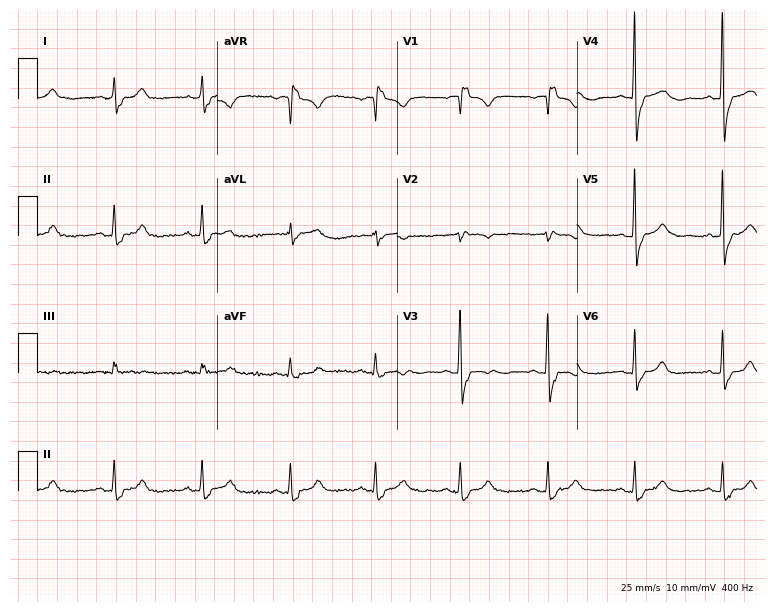
Standard 12-lead ECG recorded from a woman, 60 years old. The tracing shows right bundle branch block (RBBB).